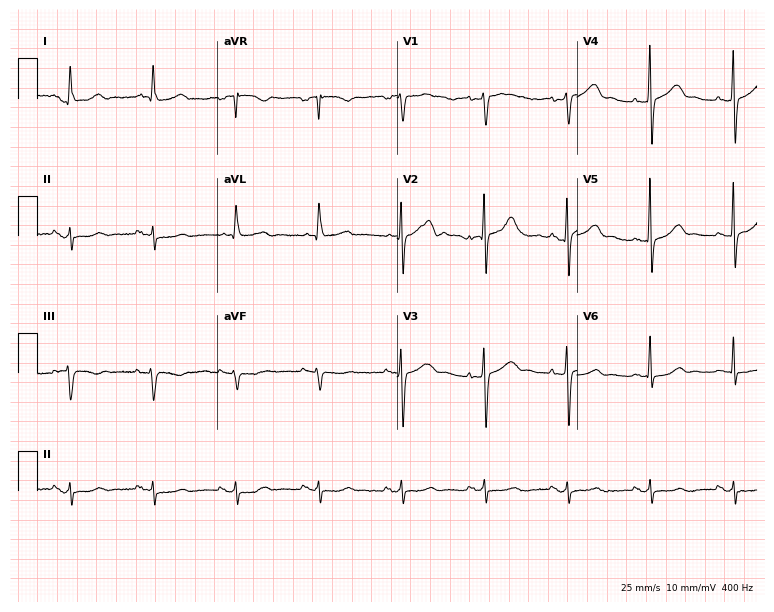
Electrocardiogram (7.3-second recording at 400 Hz), a female, 77 years old. Of the six screened findings (first-degree AV block, right bundle branch block (RBBB), left bundle branch block (LBBB), sinus bradycardia, atrial fibrillation (AF), sinus tachycardia), none is recorded.